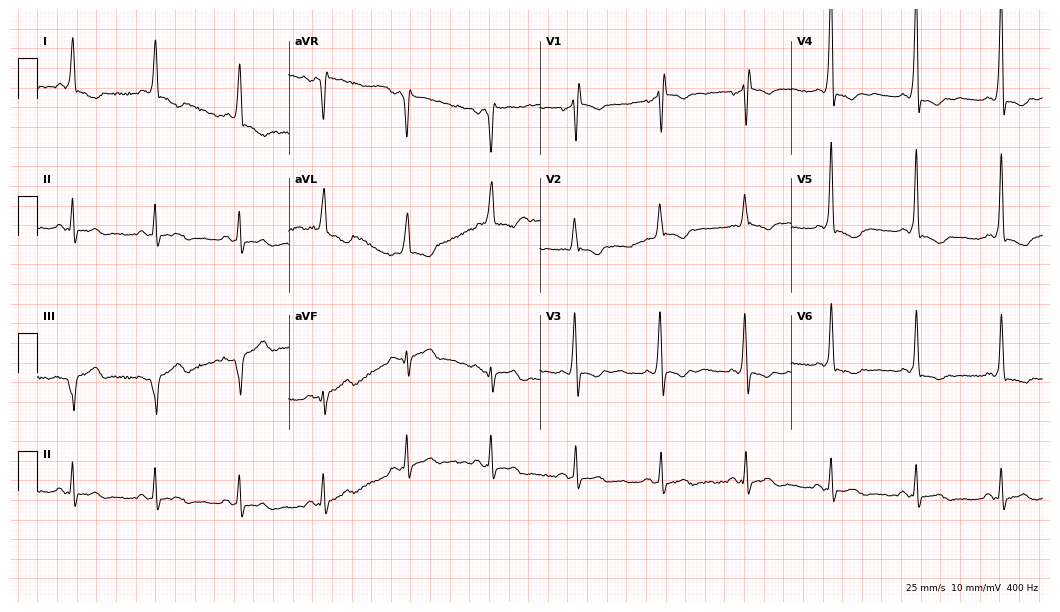
Standard 12-lead ECG recorded from a 54-year-old male patient. The tracing shows right bundle branch block.